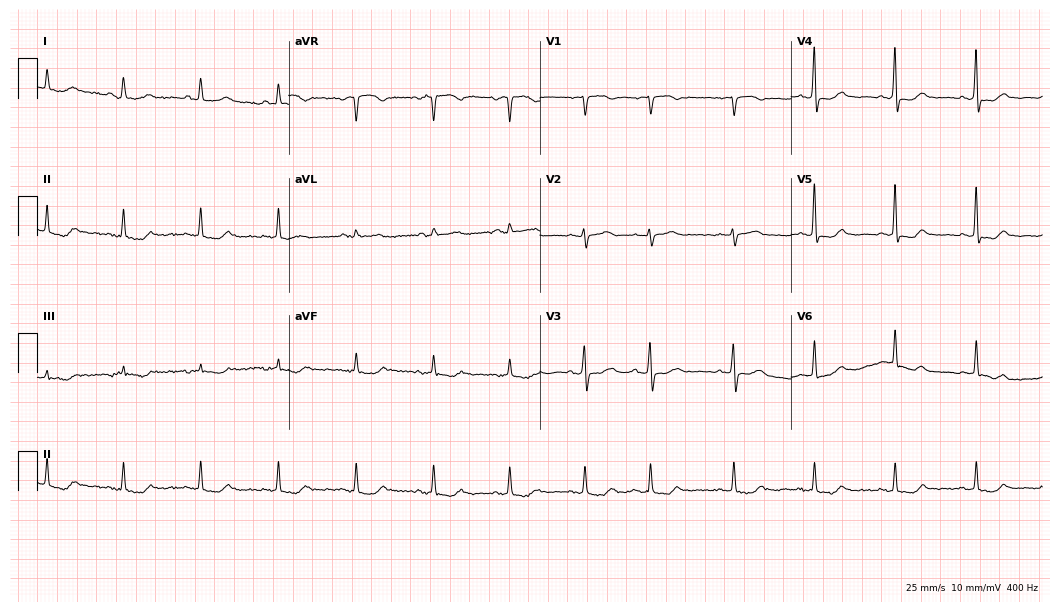
ECG — a female, 73 years old. Screened for six findings — first-degree AV block, right bundle branch block, left bundle branch block, sinus bradycardia, atrial fibrillation, sinus tachycardia — none is recorded. Only these six findings were labelled.